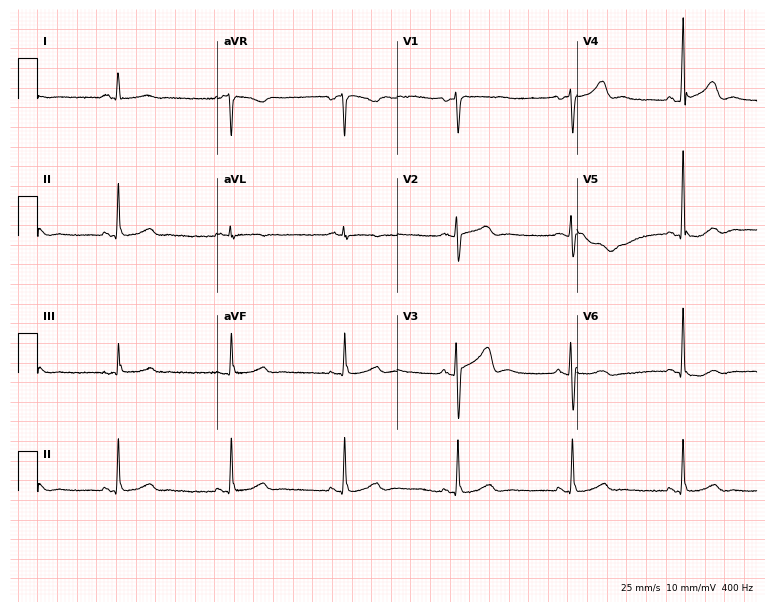
Resting 12-lead electrocardiogram. Patient: a 56-year-old man. Read as a normal ECG.